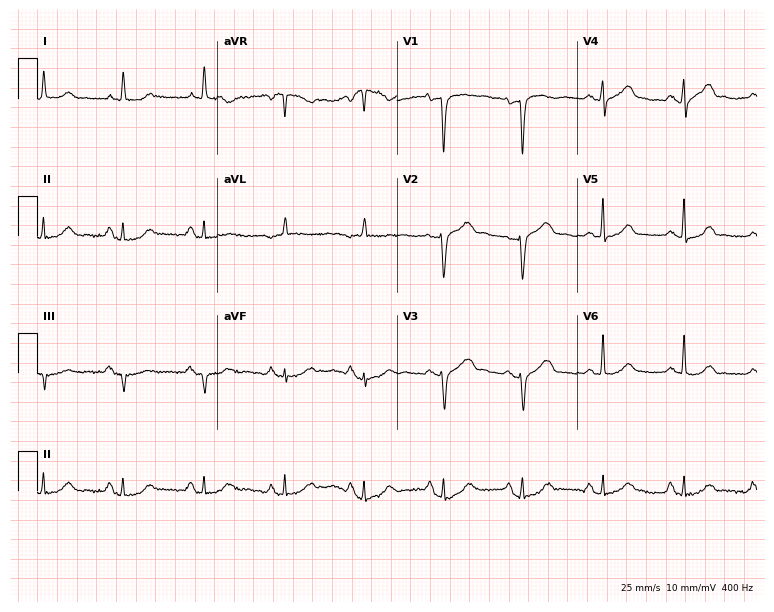
Resting 12-lead electrocardiogram. Patient: a 64-year-old male. None of these six findings is recorded: first-degree AV block, right bundle branch block, left bundle branch block, sinus bradycardia, atrial fibrillation, sinus tachycardia. Other findings, if any, are not listed.